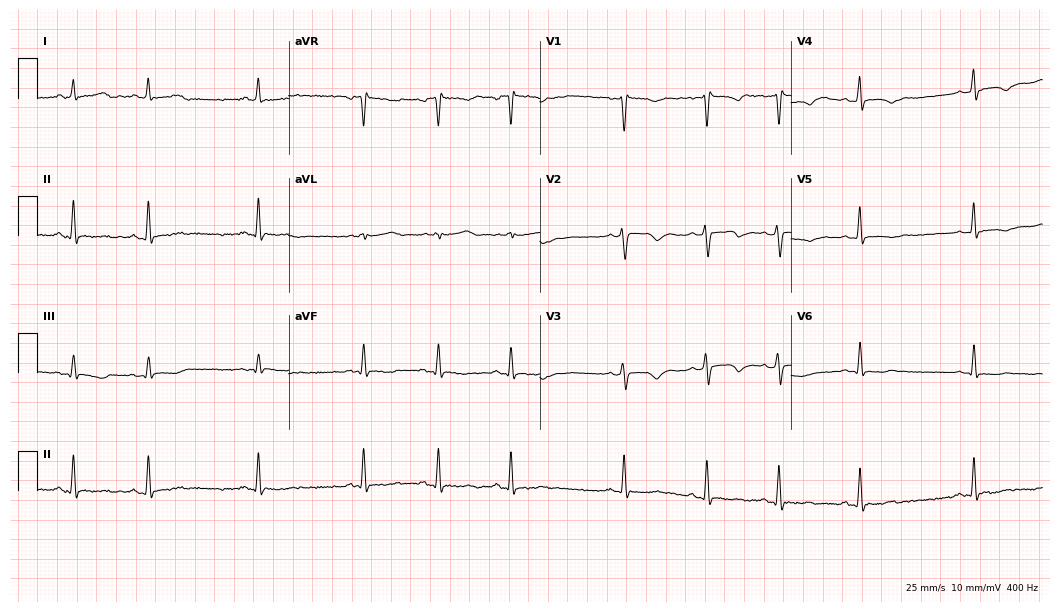
Electrocardiogram, a female patient, 22 years old. Of the six screened findings (first-degree AV block, right bundle branch block, left bundle branch block, sinus bradycardia, atrial fibrillation, sinus tachycardia), none is recorded. Only these six findings were labelled.